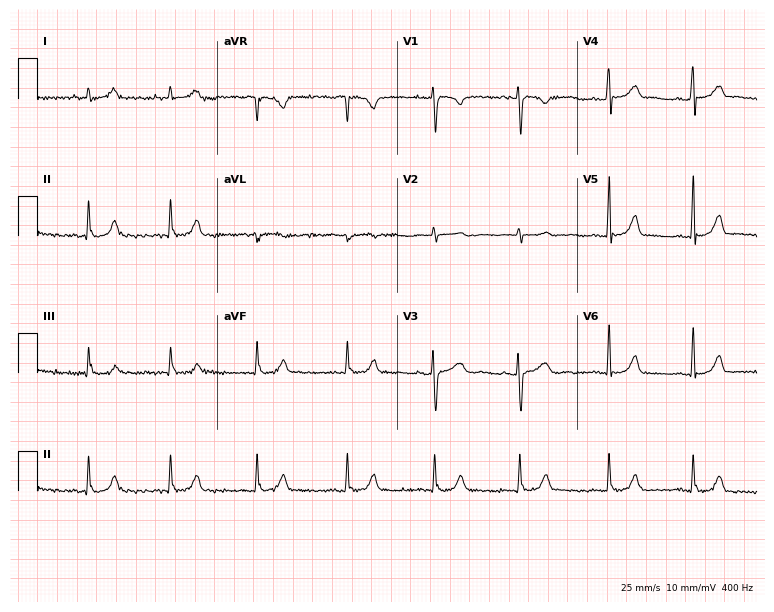
ECG — a female, 20 years old. Labelled as a normal ECG.